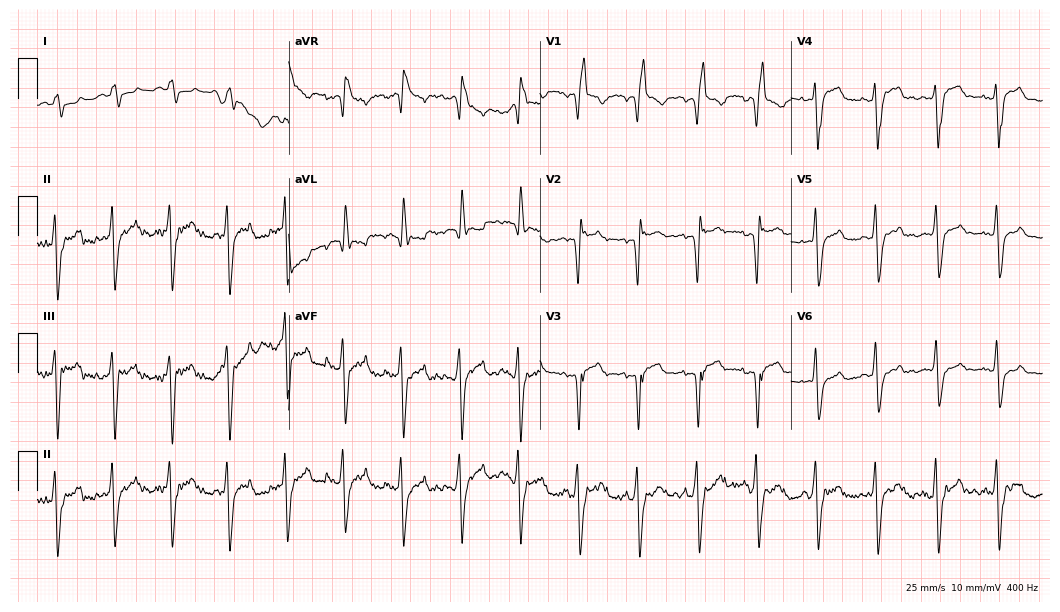
Electrocardiogram (10.2-second recording at 400 Hz), a man, 58 years old. Interpretation includes right bundle branch block (RBBB), sinus tachycardia (a sinus rate of 100 beats per minute or more).